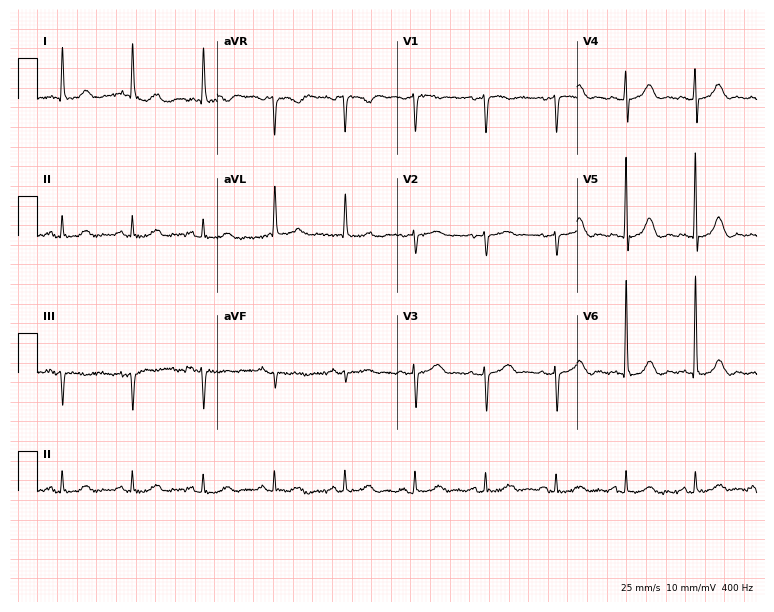
Resting 12-lead electrocardiogram. Patient: a 79-year-old female. Read as a normal ECG.